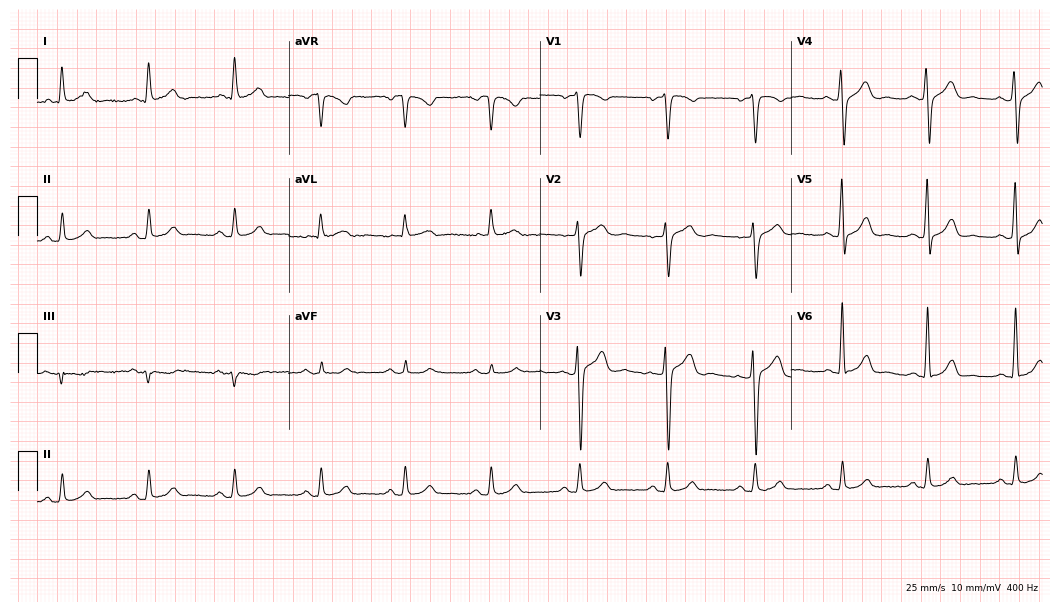
ECG — a male, 35 years old. Labelled as a normal ECG.